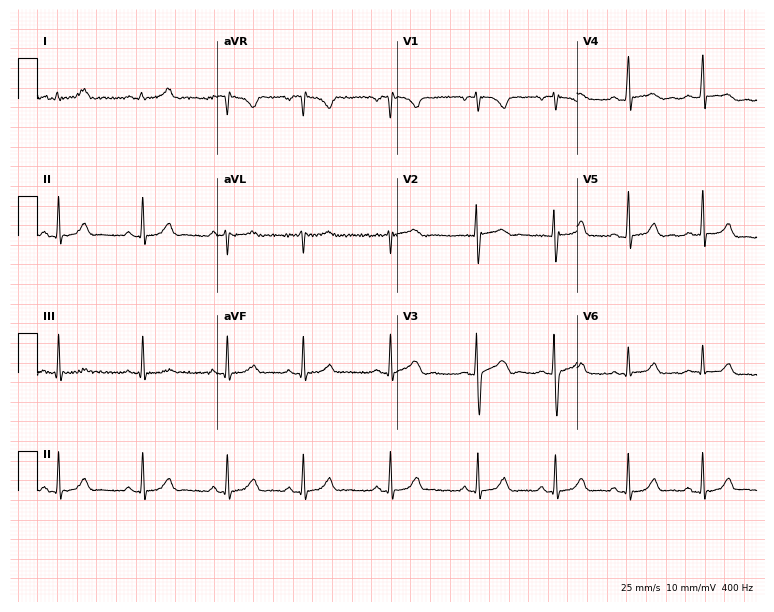
Electrocardiogram (7.3-second recording at 400 Hz), a female, 17 years old. Overall reading on record: normal ECG.